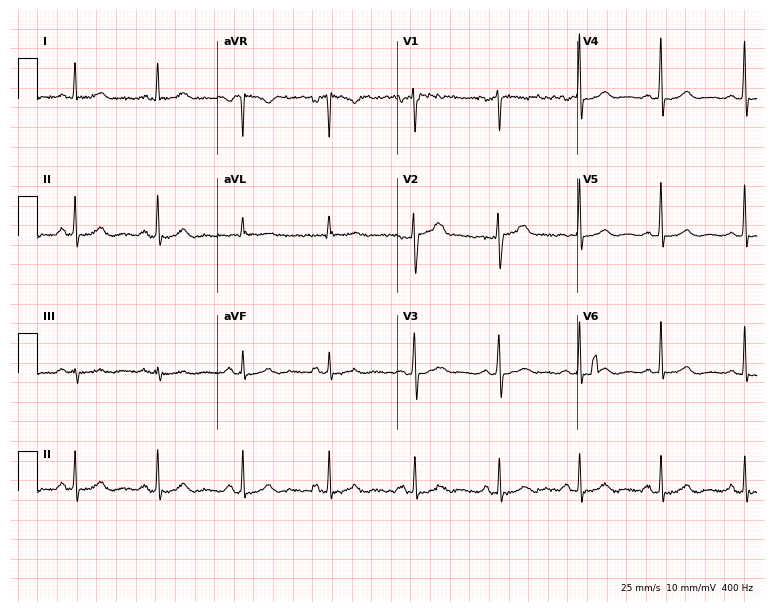
12-lead ECG from a 38-year-old woman. Labelled as a normal ECG.